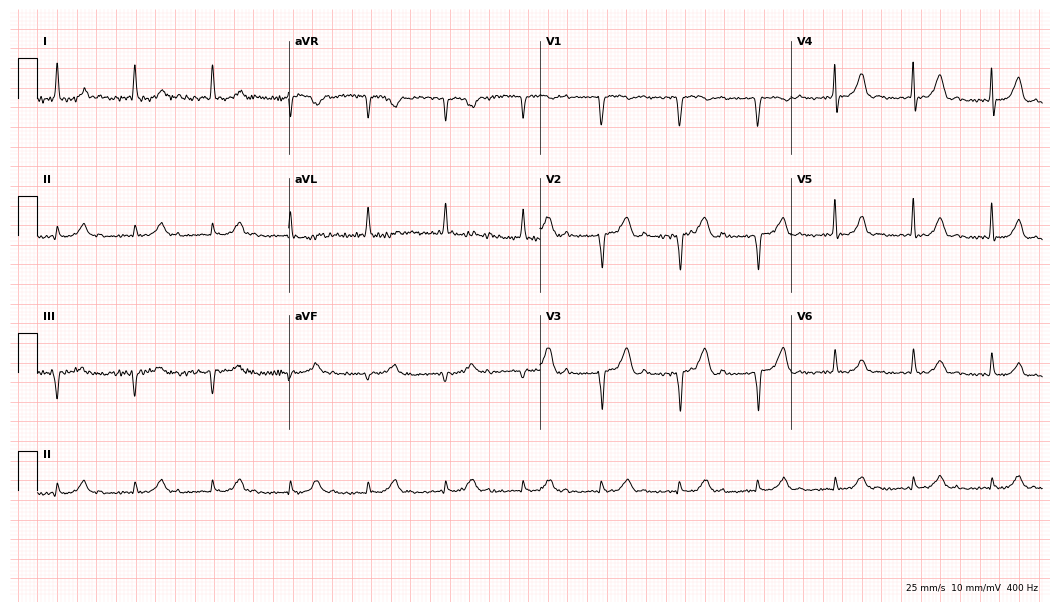
12-lead ECG (10.2-second recording at 400 Hz) from a 69-year-old female patient. Findings include first-degree AV block.